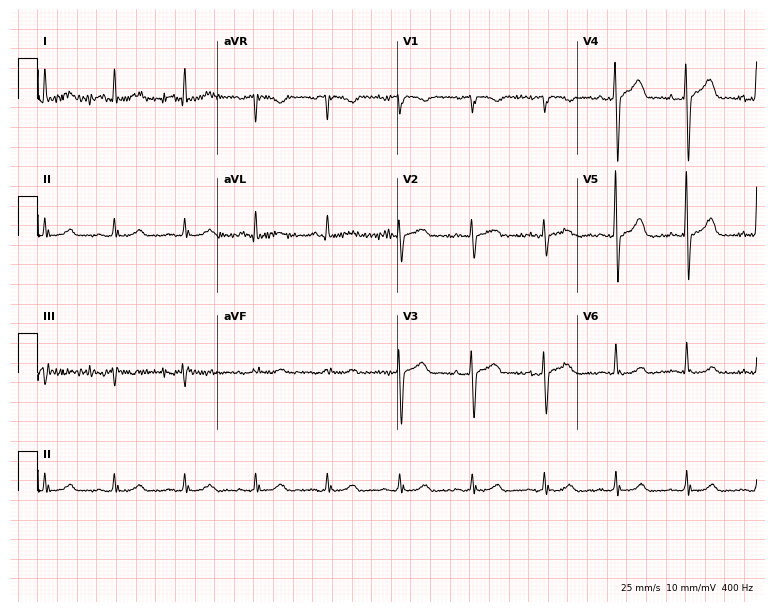
ECG — a woman, 58 years old. Screened for six findings — first-degree AV block, right bundle branch block (RBBB), left bundle branch block (LBBB), sinus bradycardia, atrial fibrillation (AF), sinus tachycardia — none is recorded.